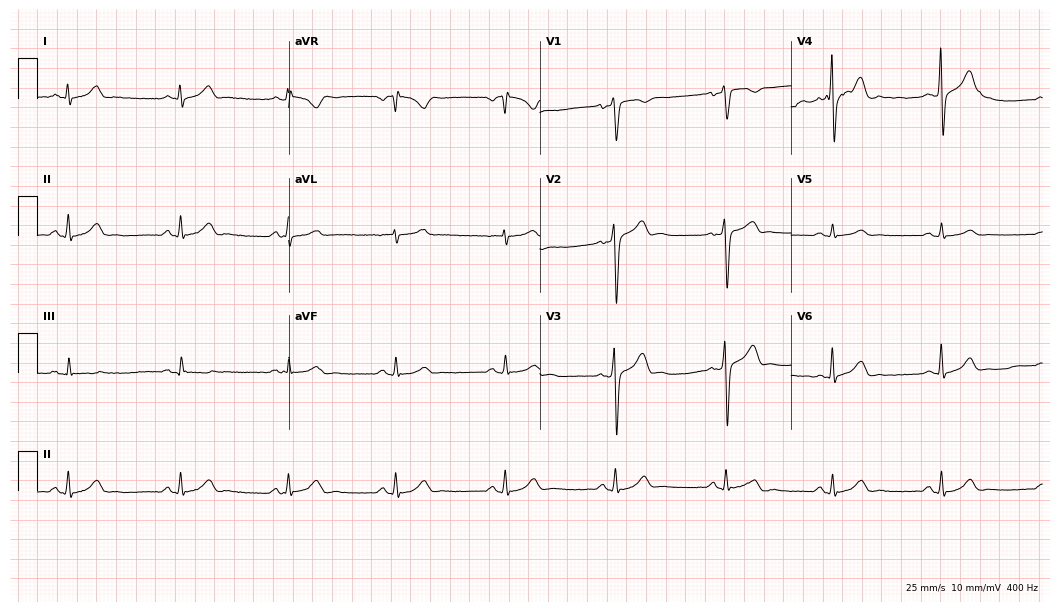
12-lead ECG from a male patient, 39 years old. Recorded interpretation: within normal limits.